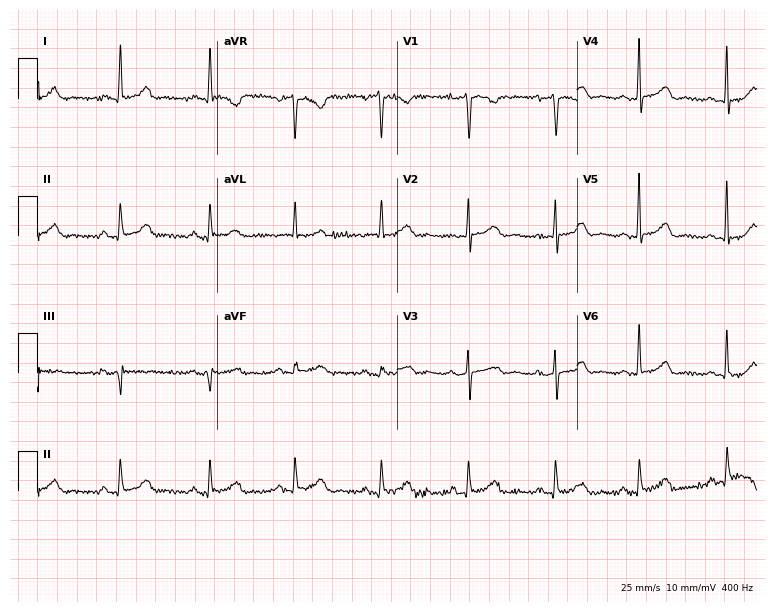
12-lead ECG from a woman, 61 years old (7.3-second recording at 400 Hz). No first-degree AV block, right bundle branch block, left bundle branch block, sinus bradycardia, atrial fibrillation or sinus tachycardia recorded for this tracing.